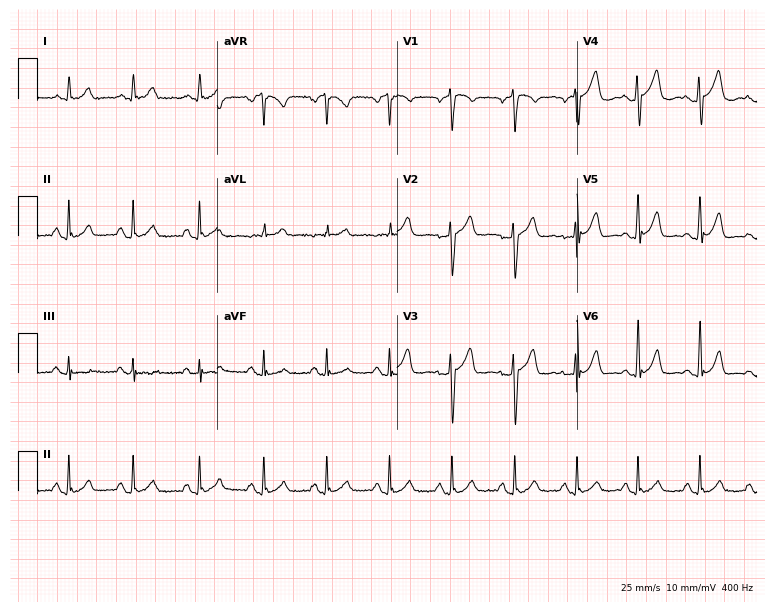
Electrocardiogram (7.3-second recording at 400 Hz), a 24-year-old male patient. Of the six screened findings (first-degree AV block, right bundle branch block, left bundle branch block, sinus bradycardia, atrial fibrillation, sinus tachycardia), none is recorded. Findings outside these six are not listed.